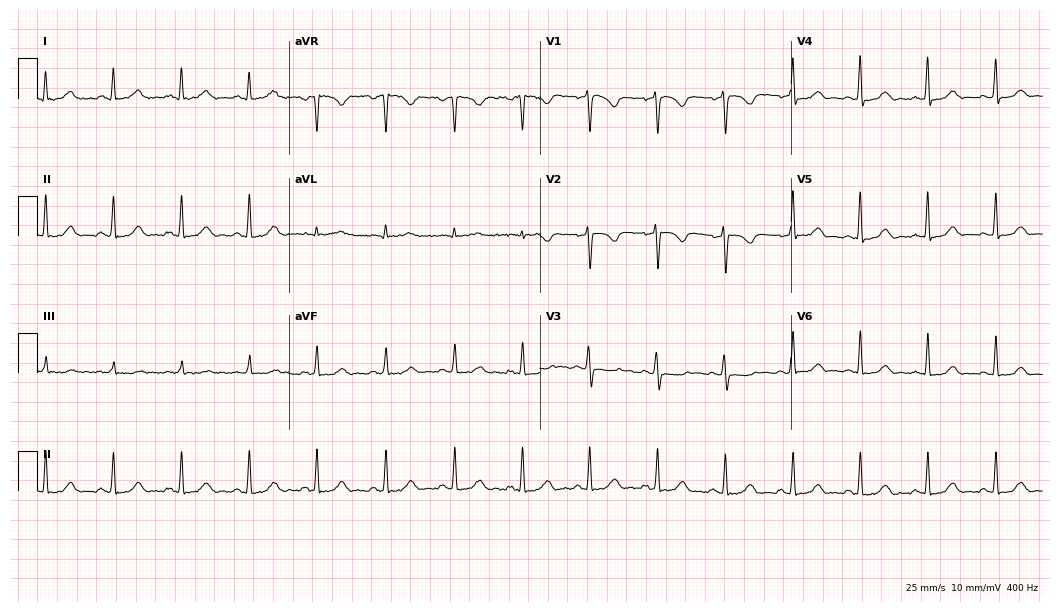
ECG — a 41-year-old female patient. Screened for six findings — first-degree AV block, right bundle branch block, left bundle branch block, sinus bradycardia, atrial fibrillation, sinus tachycardia — none is recorded.